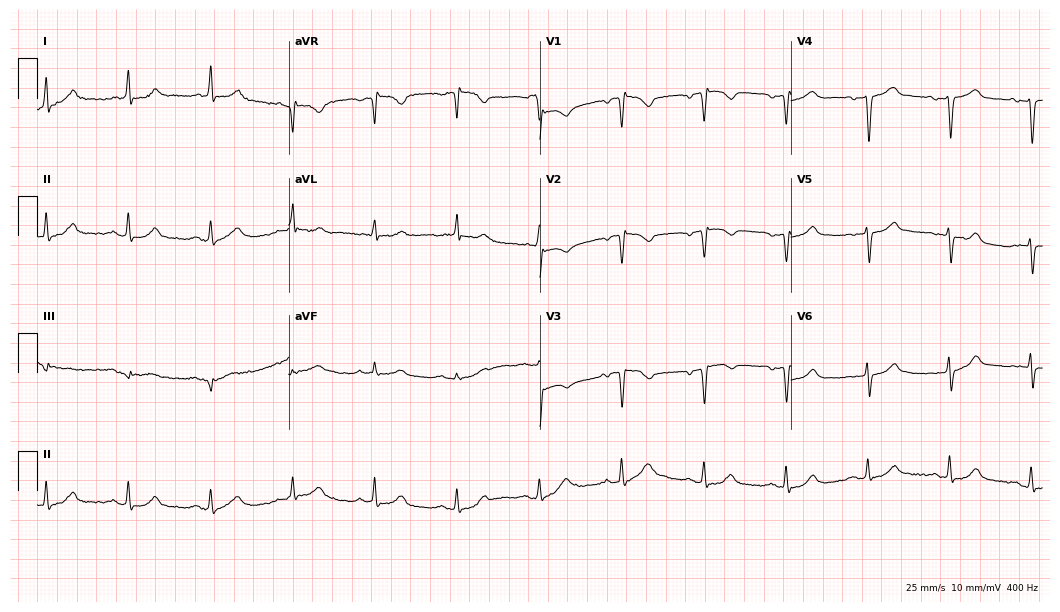
Electrocardiogram (10.2-second recording at 400 Hz), a male patient, 83 years old. Of the six screened findings (first-degree AV block, right bundle branch block, left bundle branch block, sinus bradycardia, atrial fibrillation, sinus tachycardia), none is recorded.